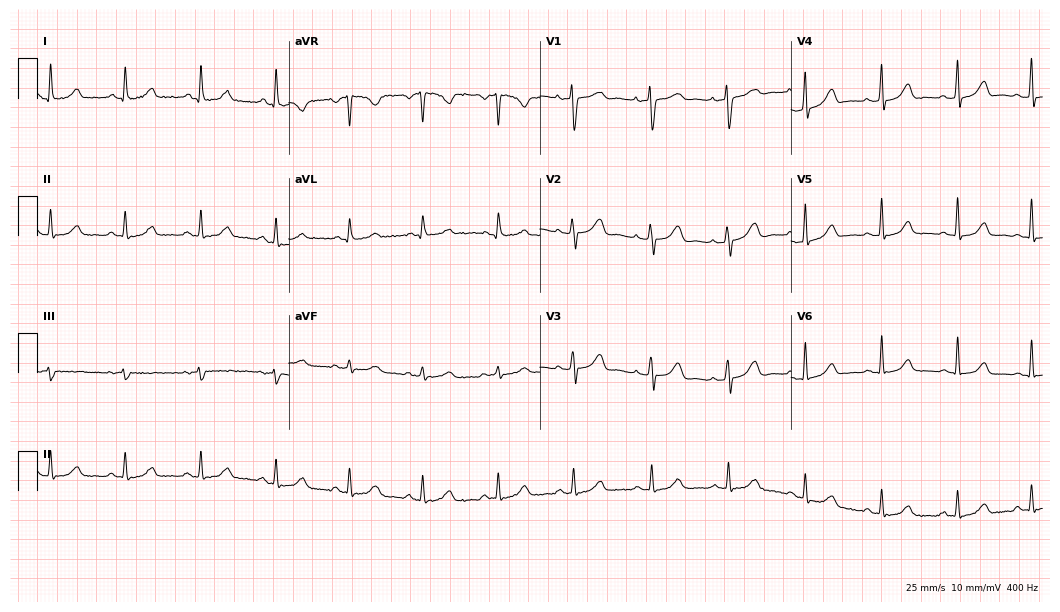
Standard 12-lead ECG recorded from a 47-year-old female patient (10.2-second recording at 400 Hz). None of these six findings is recorded: first-degree AV block, right bundle branch block, left bundle branch block, sinus bradycardia, atrial fibrillation, sinus tachycardia. Only these six findings were labelled.